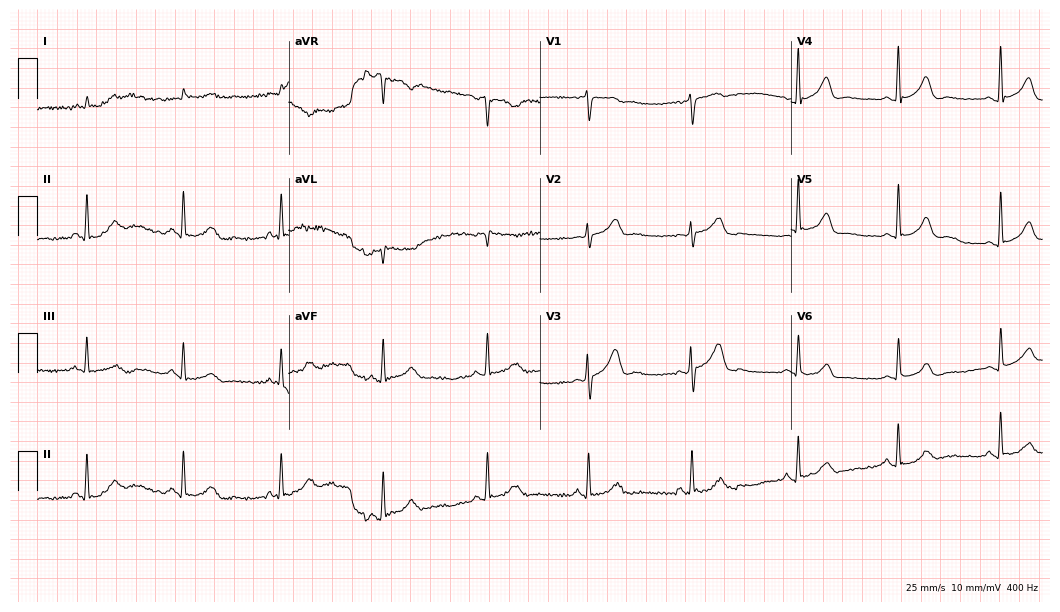
Standard 12-lead ECG recorded from a 58-year-old male patient (10.2-second recording at 400 Hz). None of these six findings is recorded: first-degree AV block, right bundle branch block, left bundle branch block, sinus bradycardia, atrial fibrillation, sinus tachycardia. Findings outside these six are not listed.